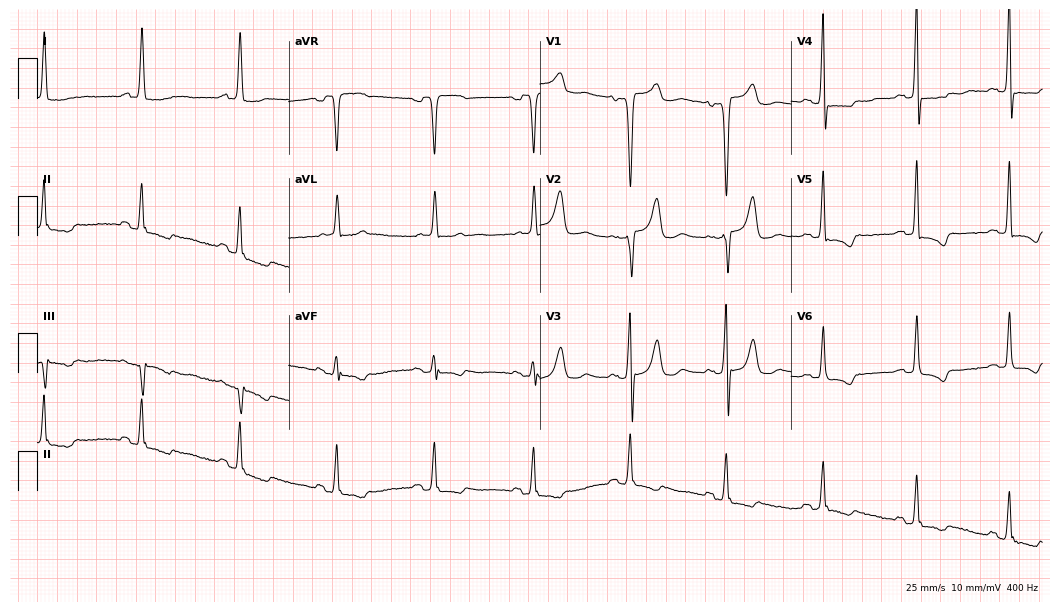
Resting 12-lead electrocardiogram. Patient: an 82-year-old woman. None of these six findings is recorded: first-degree AV block, right bundle branch block, left bundle branch block, sinus bradycardia, atrial fibrillation, sinus tachycardia. Only these six findings were labelled.